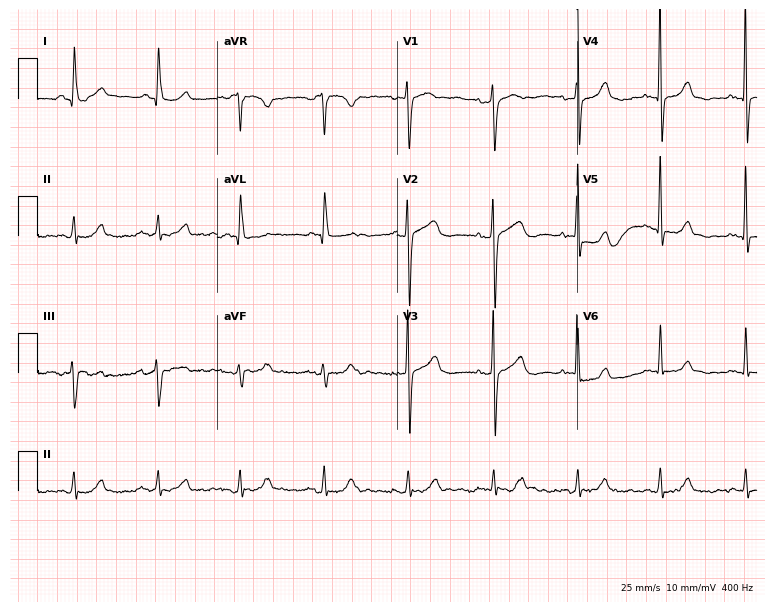
12-lead ECG from a female, 78 years old. Screened for six findings — first-degree AV block, right bundle branch block, left bundle branch block, sinus bradycardia, atrial fibrillation, sinus tachycardia — none is recorded. Only these six findings were labelled.